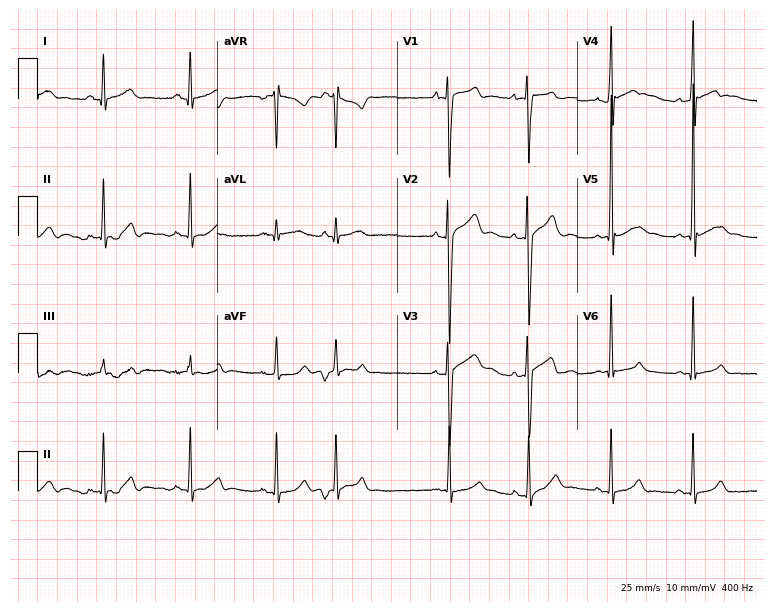
Resting 12-lead electrocardiogram. Patient: a 19-year-old man. None of these six findings is recorded: first-degree AV block, right bundle branch block, left bundle branch block, sinus bradycardia, atrial fibrillation, sinus tachycardia. Other findings, if any, are not listed.